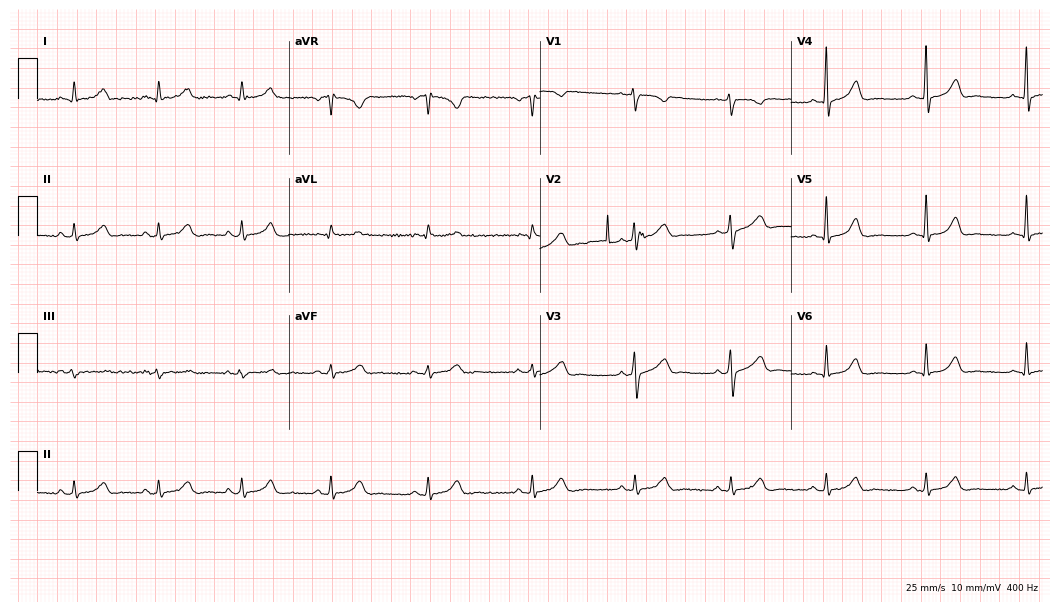
Standard 12-lead ECG recorded from a female patient, 32 years old (10.2-second recording at 400 Hz). None of these six findings is recorded: first-degree AV block, right bundle branch block (RBBB), left bundle branch block (LBBB), sinus bradycardia, atrial fibrillation (AF), sinus tachycardia.